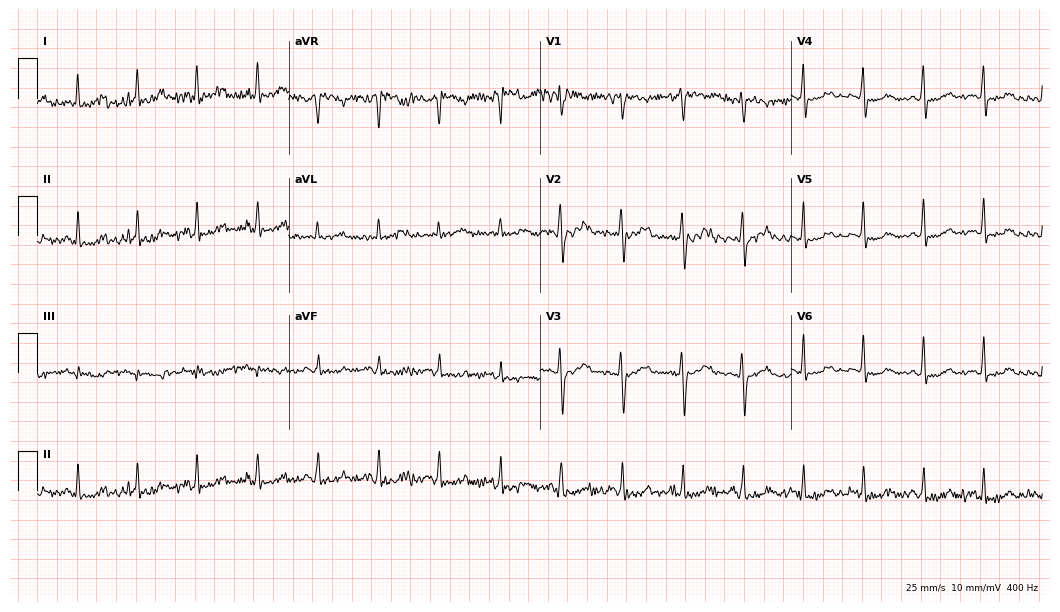
Resting 12-lead electrocardiogram (10.2-second recording at 400 Hz). Patient: a 44-year-old woman. Read as a normal ECG.